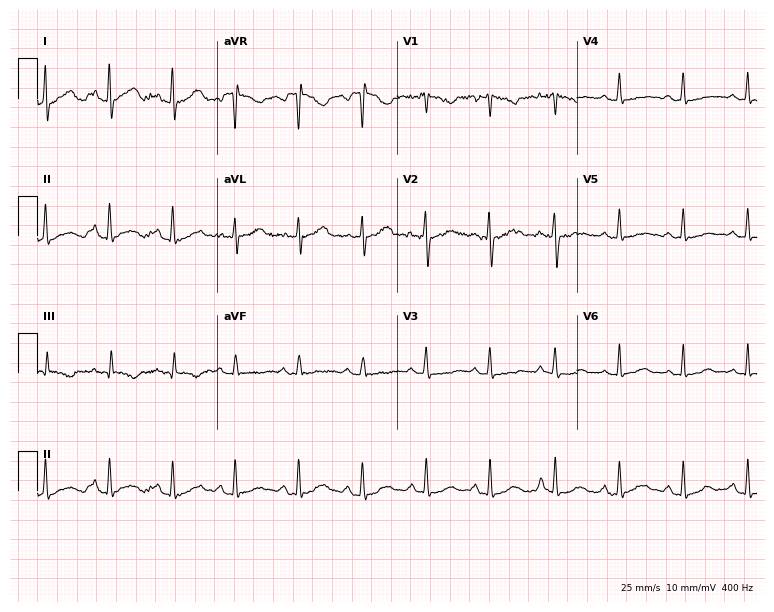
Standard 12-lead ECG recorded from a female, 36 years old. None of these six findings is recorded: first-degree AV block, right bundle branch block, left bundle branch block, sinus bradycardia, atrial fibrillation, sinus tachycardia.